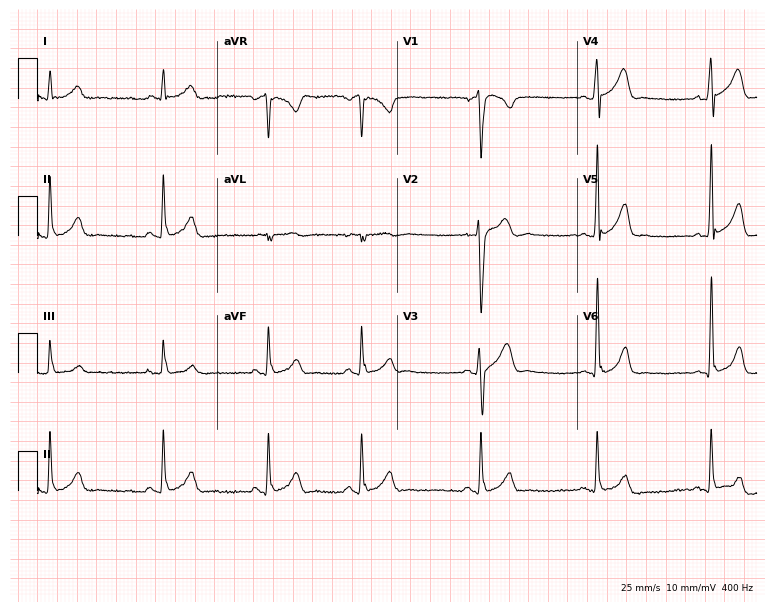
ECG — a male, 30 years old. Labelled as a normal ECG.